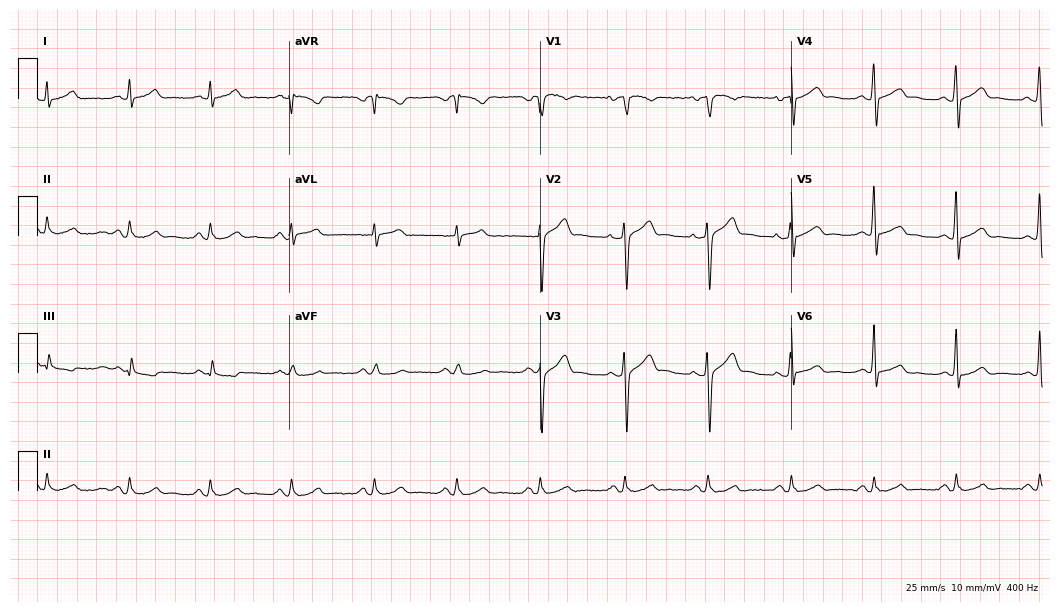
12-lead ECG from a male, 40 years old. Recorded interpretation: within normal limits.